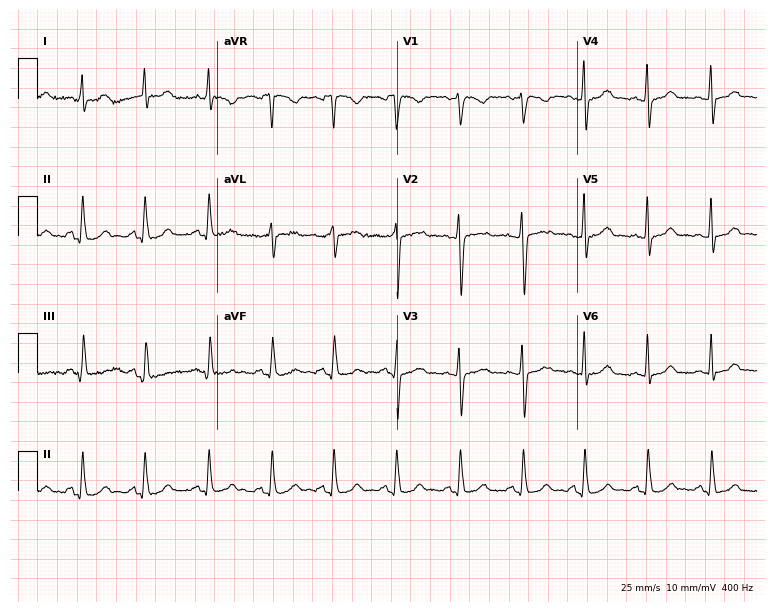
ECG (7.3-second recording at 400 Hz) — a female patient, 30 years old. Screened for six findings — first-degree AV block, right bundle branch block, left bundle branch block, sinus bradycardia, atrial fibrillation, sinus tachycardia — none is recorded. Other findings, if any, are not listed.